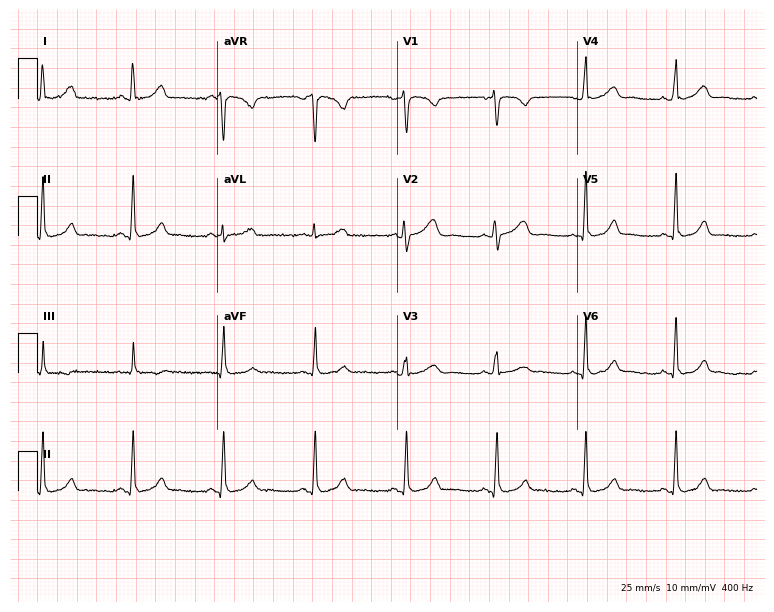
Electrocardiogram (7.3-second recording at 400 Hz), a 40-year-old female. Overall reading on record: normal ECG.